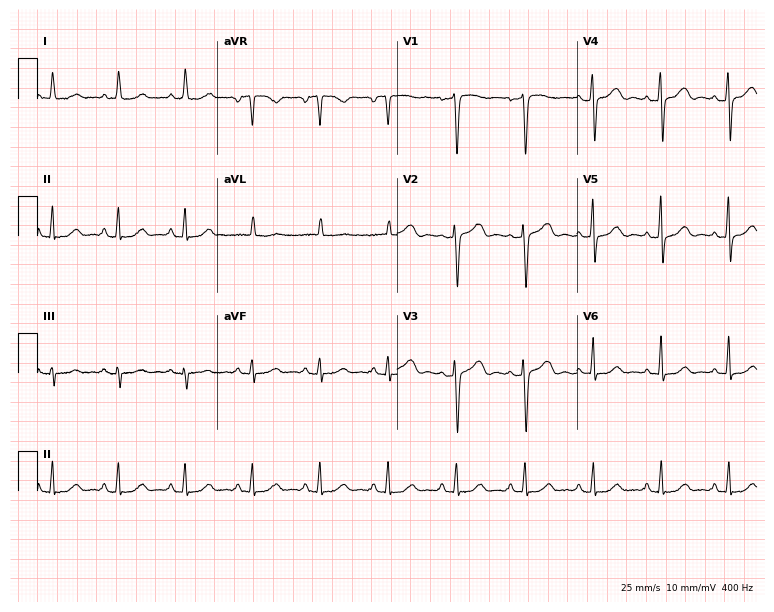
ECG (7.3-second recording at 400 Hz) — a woman, 56 years old. Screened for six findings — first-degree AV block, right bundle branch block, left bundle branch block, sinus bradycardia, atrial fibrillation, sinus tachycardia — none is recorded. Only these six findings were labelled.